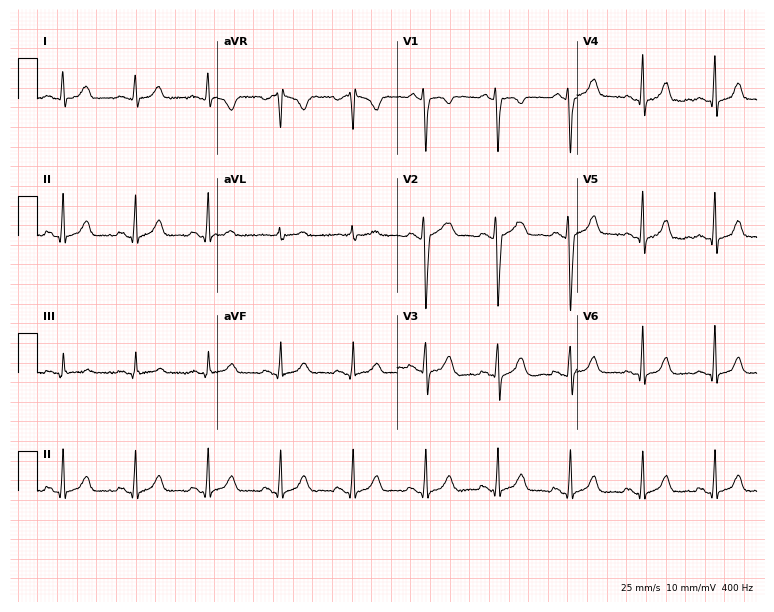
12-lead ECG from a 30-year-old female. Labelled as a normal ECG.